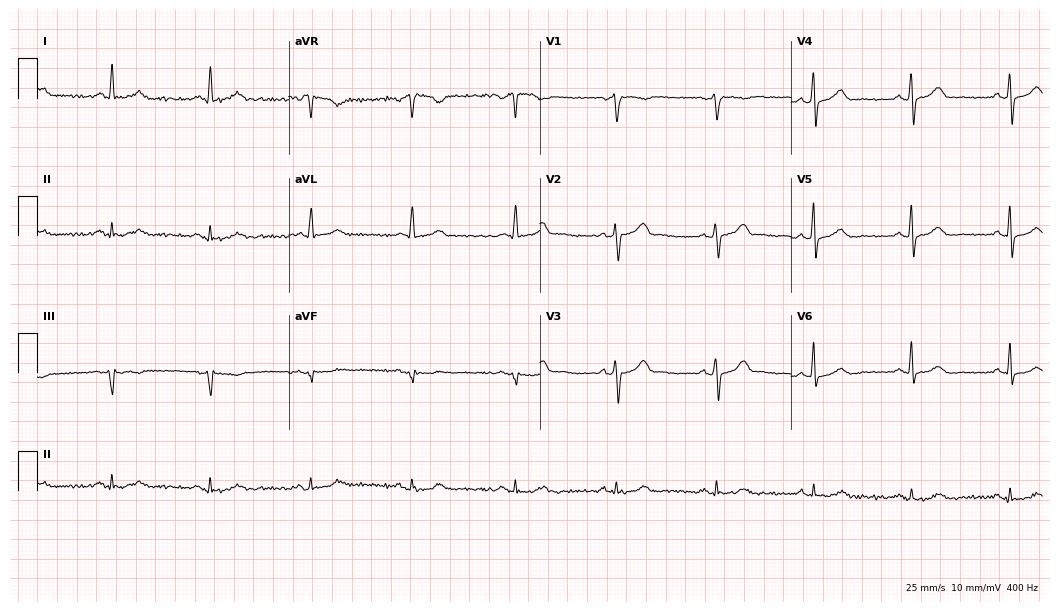
Standard 12-lead ECG recorded from a 65-year-old female. Read as a normal ECG.